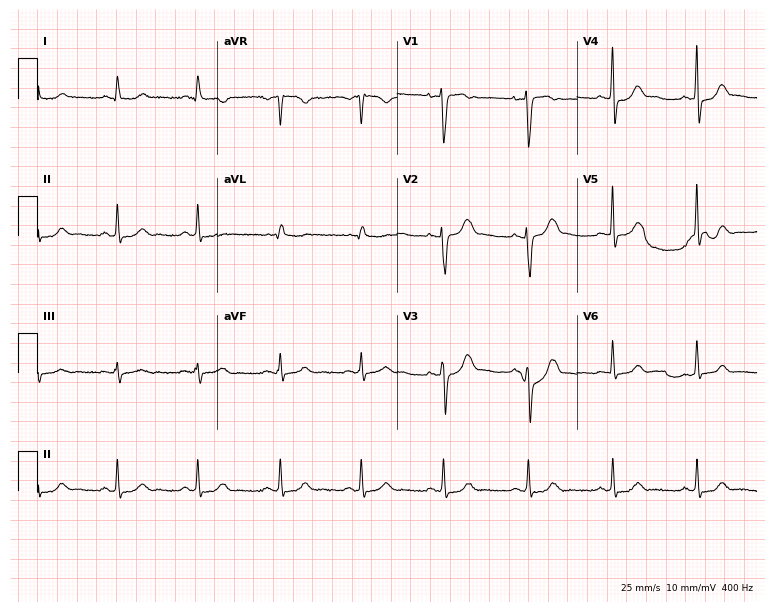
ECG (7.3-second recording at 400 Hz) — a female, 44 years old. Labelled as a normal ECG.